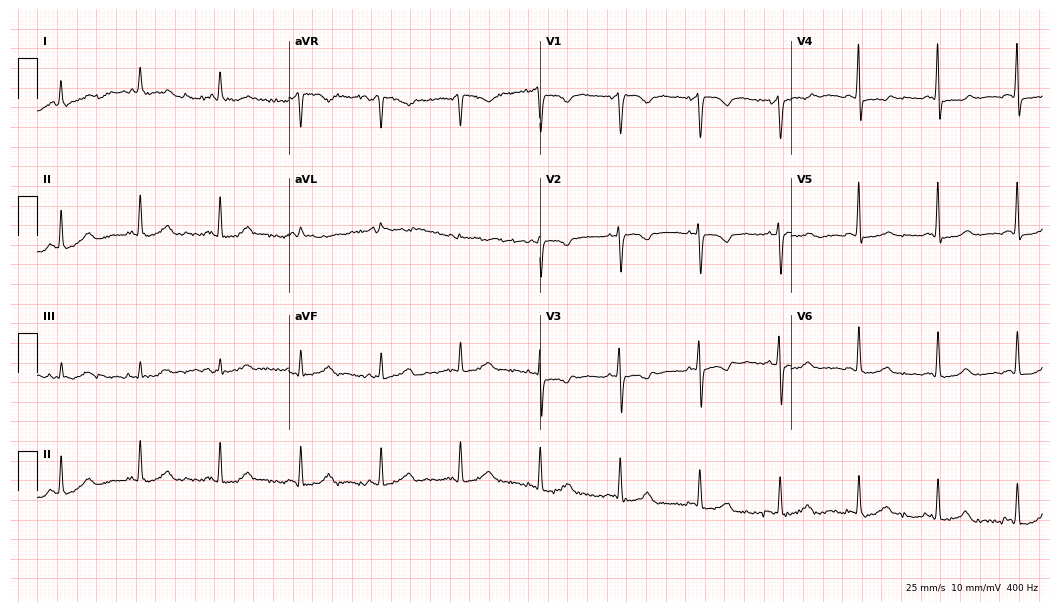
ECG (10.2-second recording at 400 Hz) — a 74-year-old female. Screened for six findings — first-degree AV block, right bundle branch block, left bundle branch block, sinus bradycardia, atrial fibrillation, sinus tachycardia — none is recorded. Other findings, if any, are not listed.